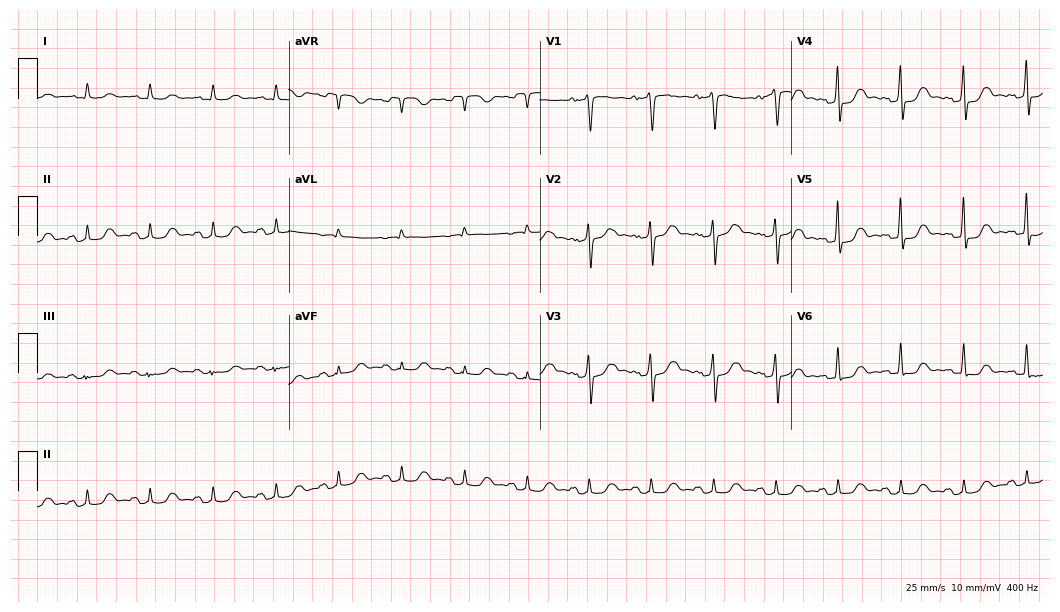
ECG (10.2-second recording at 400 Hz) — a 73-year-old male. Screened for six findings — first-degree AV block, right bundle branch block (RBBB), left bundle branch block (LBBB), sinus bradycardia, atrial fibrillation (AF), sinus tachycardia — none is recorded.